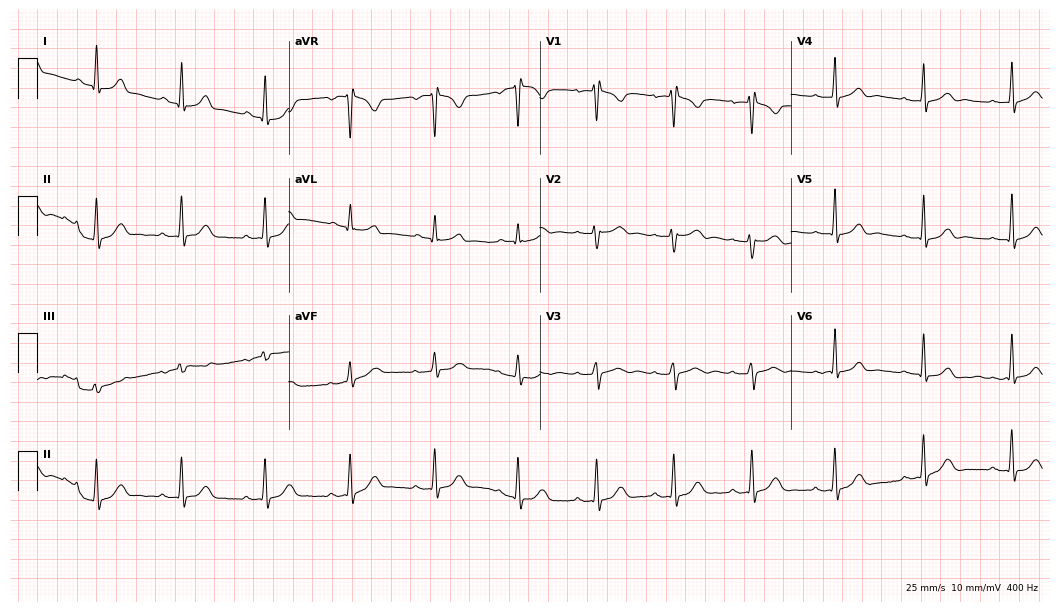
Standard 12-lead ECG recorded from a male patient, 25 years old. Read as a normal ECG.